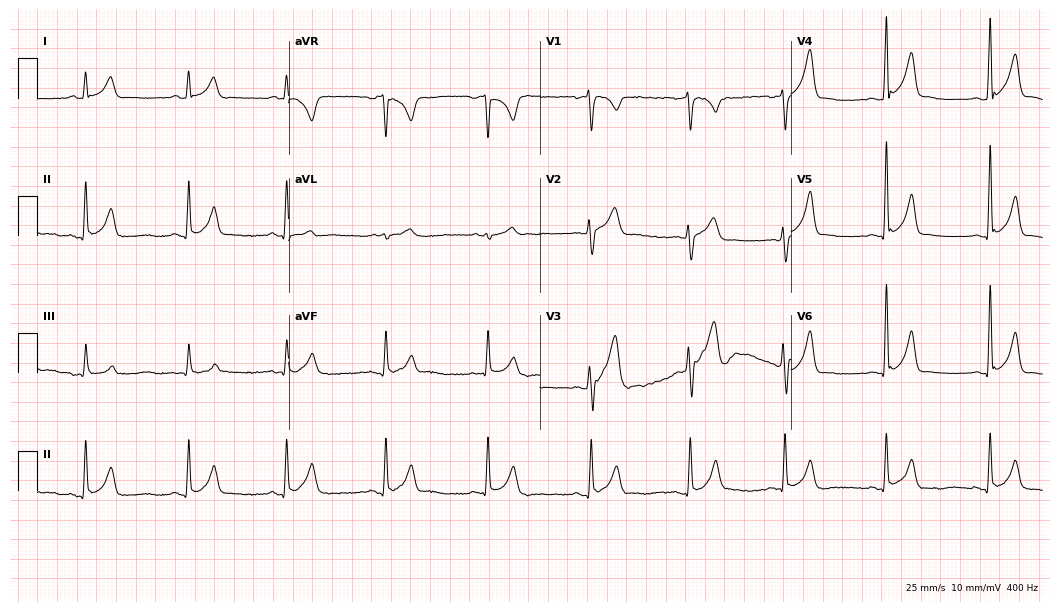
12-lead ECG from a 21-year-old man. Recorded interpretation: within normal limits.